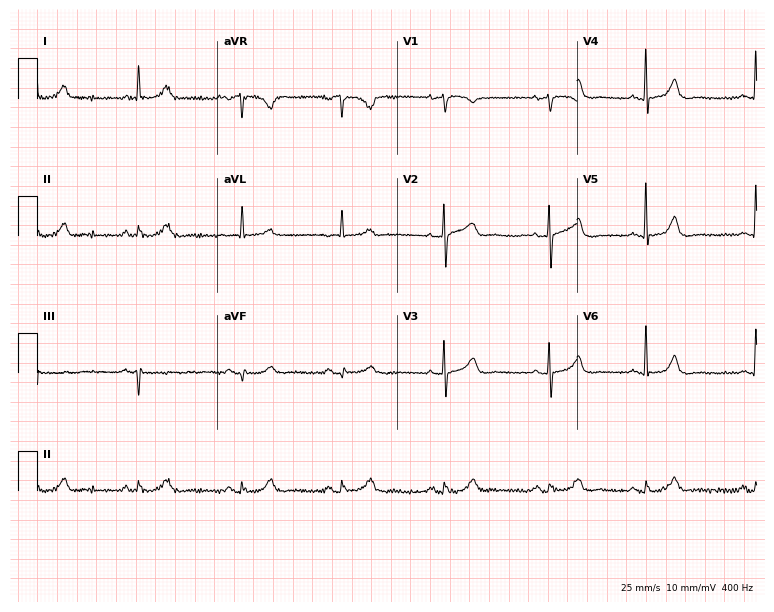
ECG — a female patient, 72 years old. Screened for six findings — first-degree AV block, right bundle branch block (RBBB), left bundle branch block (LBBB), sinus bradycardia, atrial fibrillation (AF), sinus tachycardia — none is recorded. Only these six findings were labelled.